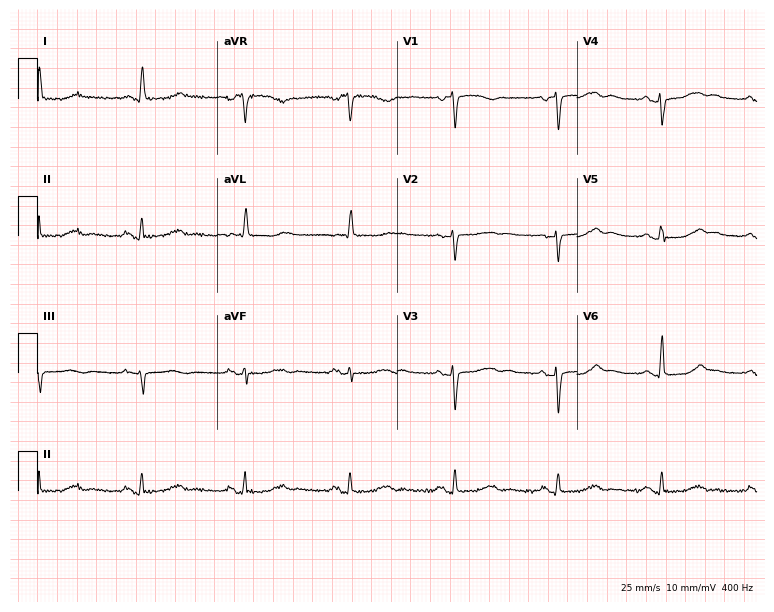
ECG (7.3-second recording at 400 Hz) — an 81-year-old female patient. Screened for six findings — first-degree AV block, right bundle branch block (RBBB), left bundle branch block (LBBB), sinus bradycardia, atrial fibrillation (AF), sinus tachycardia — none is recorded. Only these six findings were labelled.